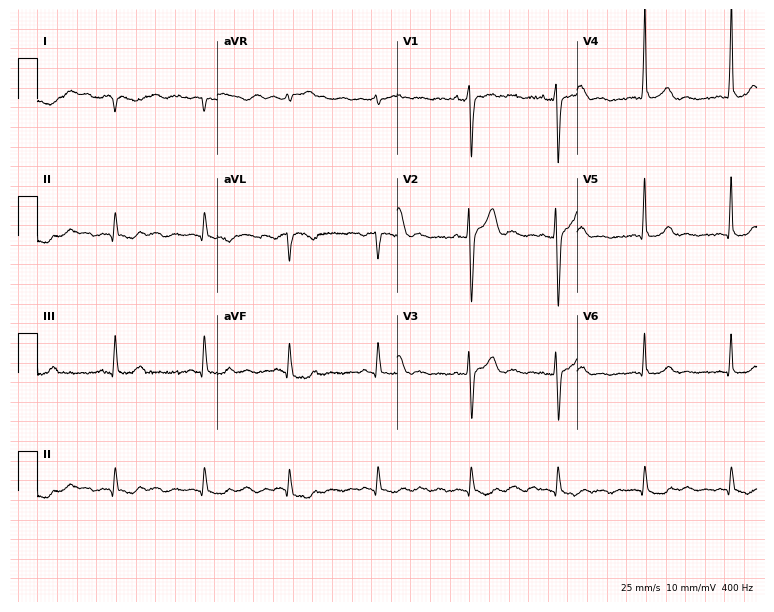
Electrocardiogram (7.3-second recording at 400 Hz), a male, 22 years old. Of the six screened findings (first-degree AV block, right bundle branch block, left bundle branch block, sinus bradycardia, atrial fibrillation, sinus tachycardia), none is recorded.